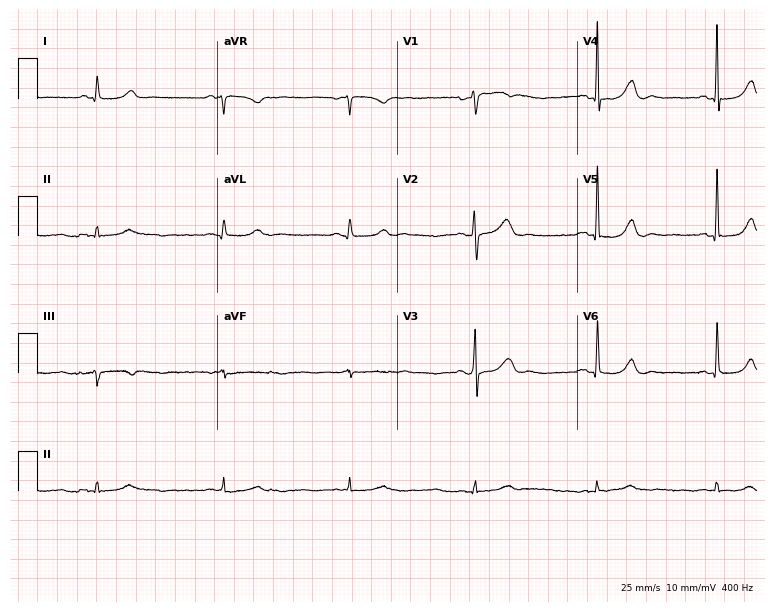
12-lead ECG from a female, 60 years old. Shows sinus bradycardia (a sinus rate of 50 beats per minute or less).